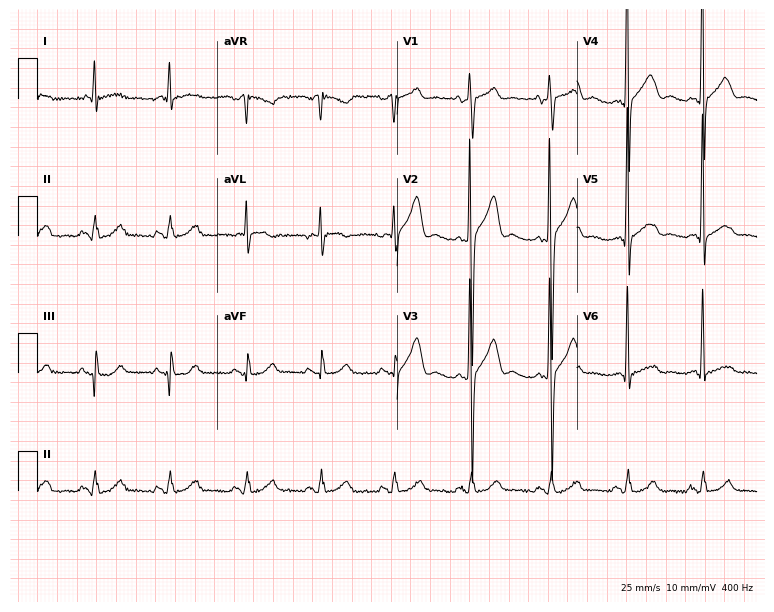
12-lead ECG from an 80-year-old man. No first-degree AV block, right bundle branch block, left bundle branch block, sinus bradycardia, atrial fibrillation or sinus tachycardia recorded for this tracing. Findings outside these six are not listed.